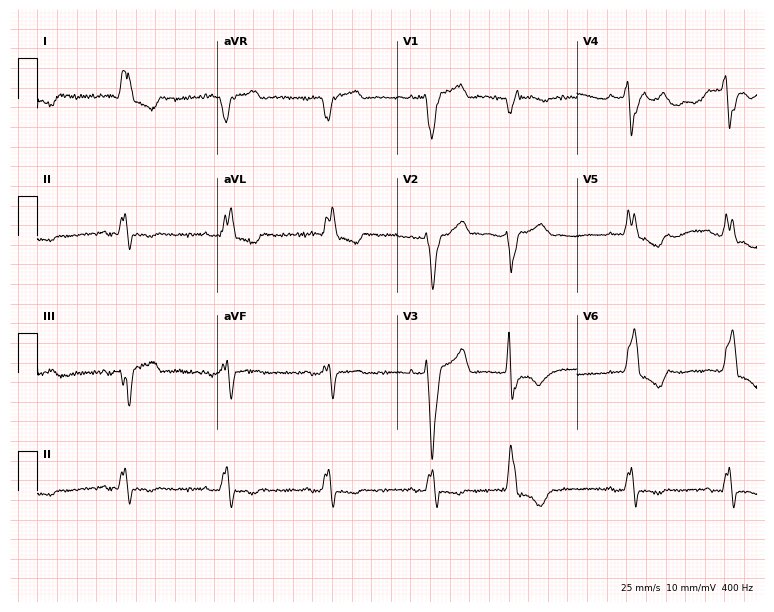
Resting 12-lead electrocardiogram. Patient: a female, 81 years old. The tracing shows left bundle branch block (LBBB).